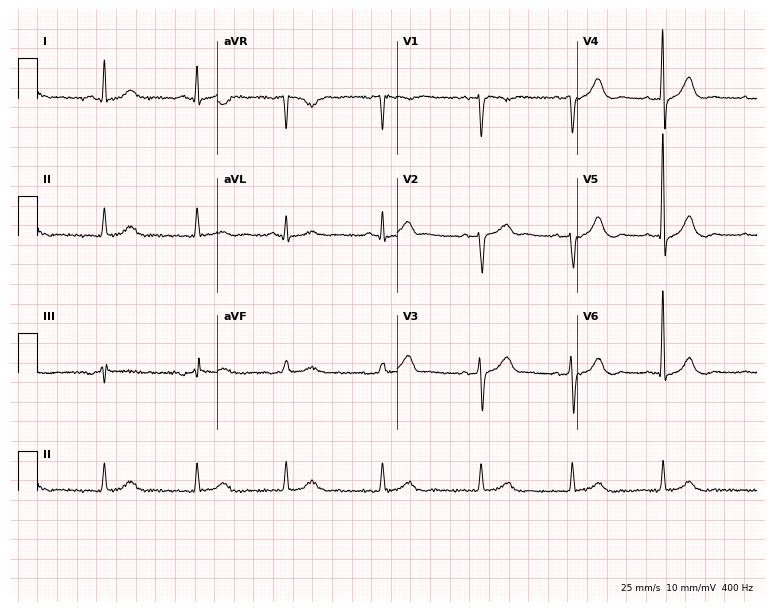
ECG (7.3-second recording at 400 Hz) — a 53-year-old man. Labelled as a normal ECG.